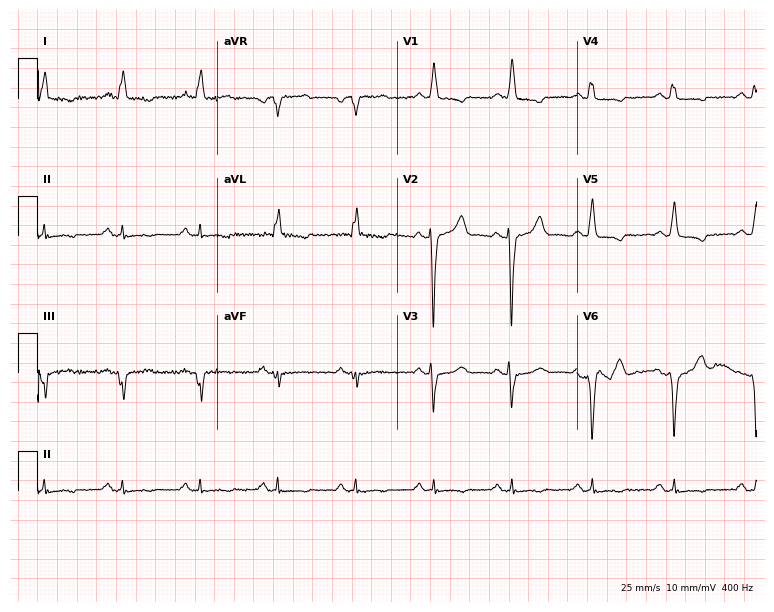
ECG — a 74-year-old male patient. Screened for six findings — first-degree AV block, right bundle branch block, left bundle branch block, sinus bradycardia, atrial fibrillation, sinus tachycardia — none is recorded. Only these six findings were labelled.